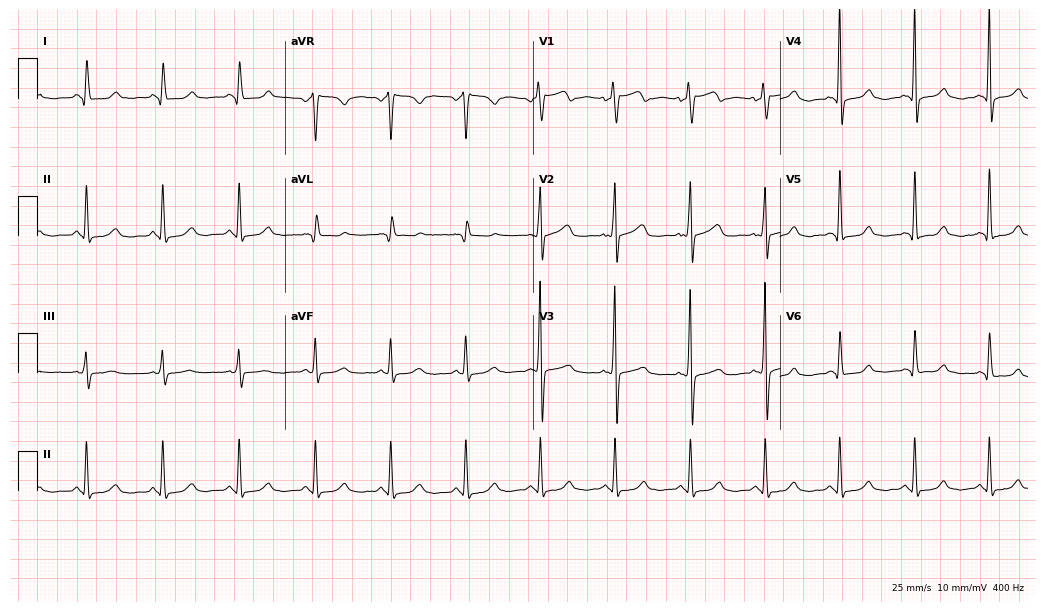
12-lead ECG from a 43-year-old female patient. Labelled as a normal ECG.